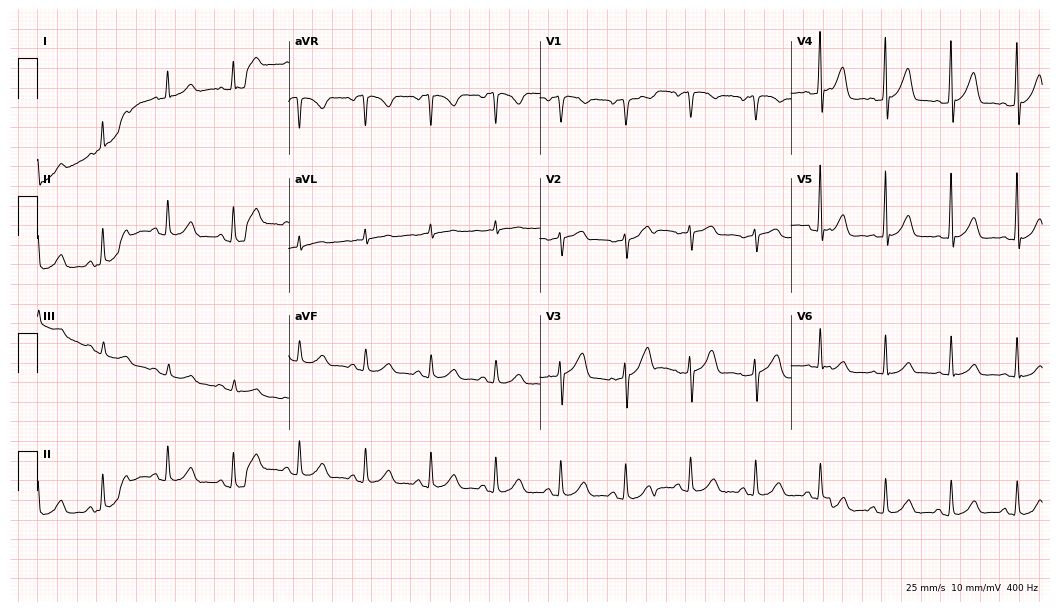
Electrocardiogram, a 70-year-old man. Overall reading on record: normal ECG.